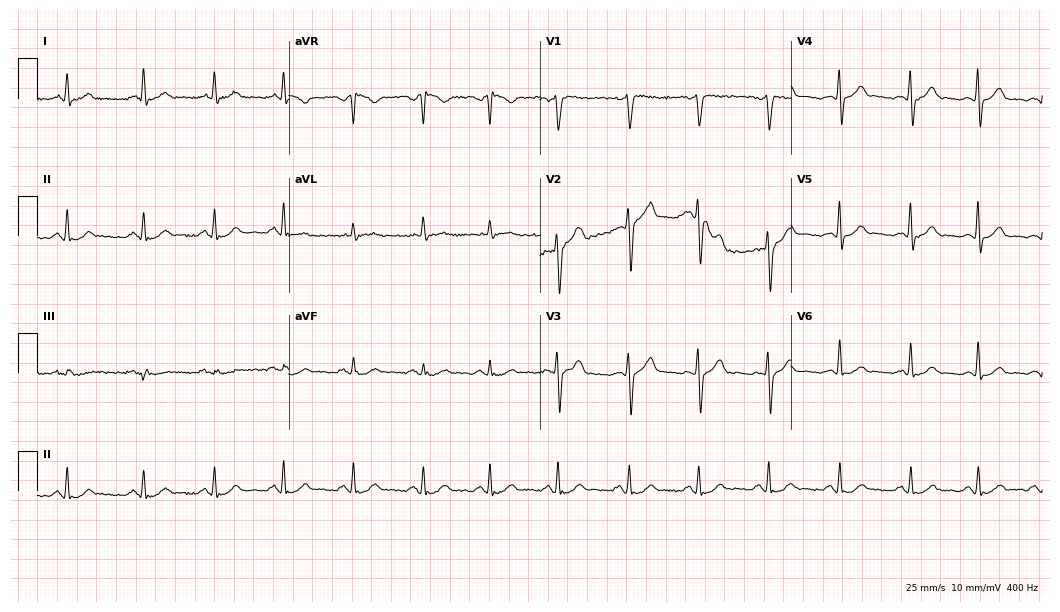
12-lead ECG from a male, 34 years old. Recorded interpretation: within normal limits.